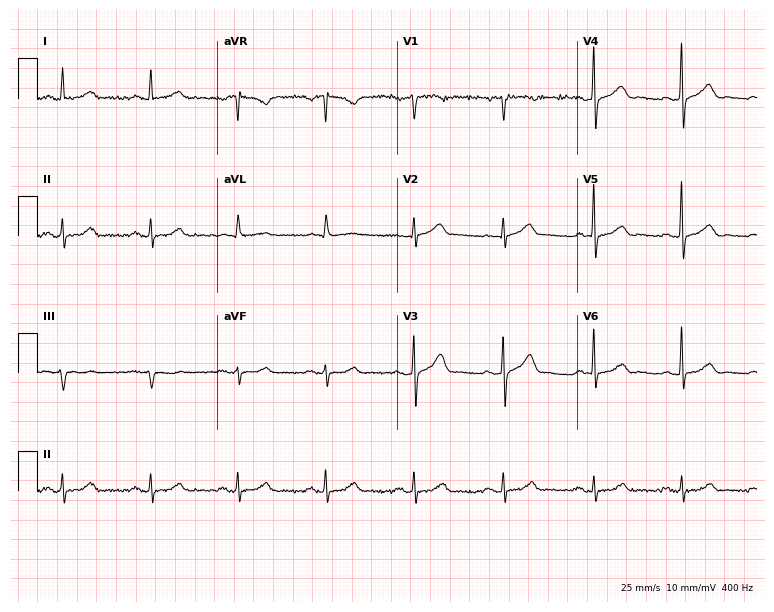
Resting 12-lead electrocardiogram (7.3-second recording at 400 Hz). Patient: a male, 71 years old. Read as a normal ECG.